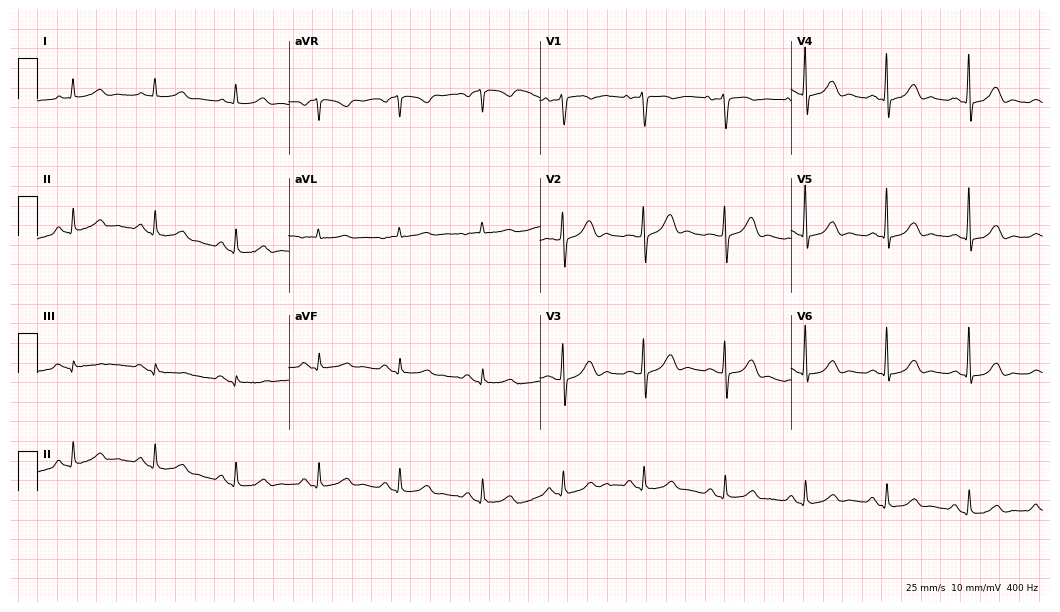
12-lead ECG from a woman, 71 years old. Recorded interpretation: within normal limits.